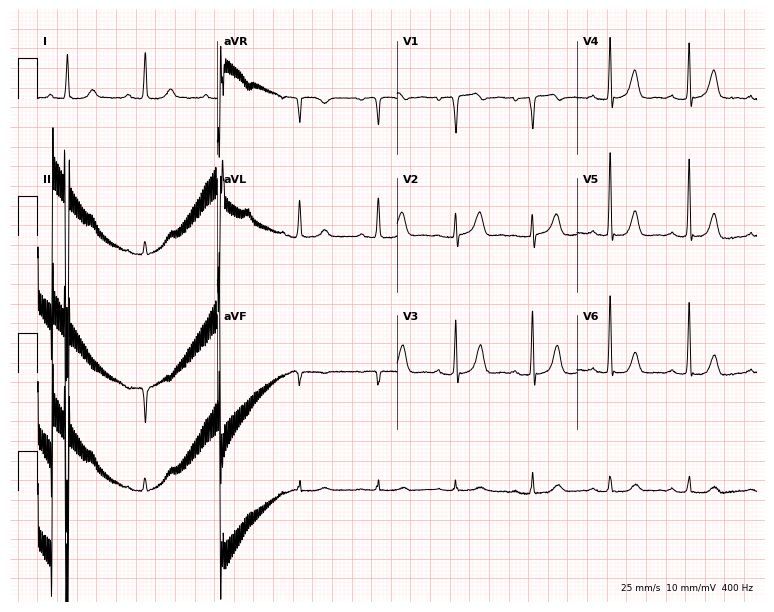
Resting 12-lead electrocardiogram. Patient: a female, 80 years old. None of these six findings is recorded: first-degree AV block, right bundle branch block, left bundle branch block, sinus bradycardia, atrial fibrillation, sinus tachycardia.